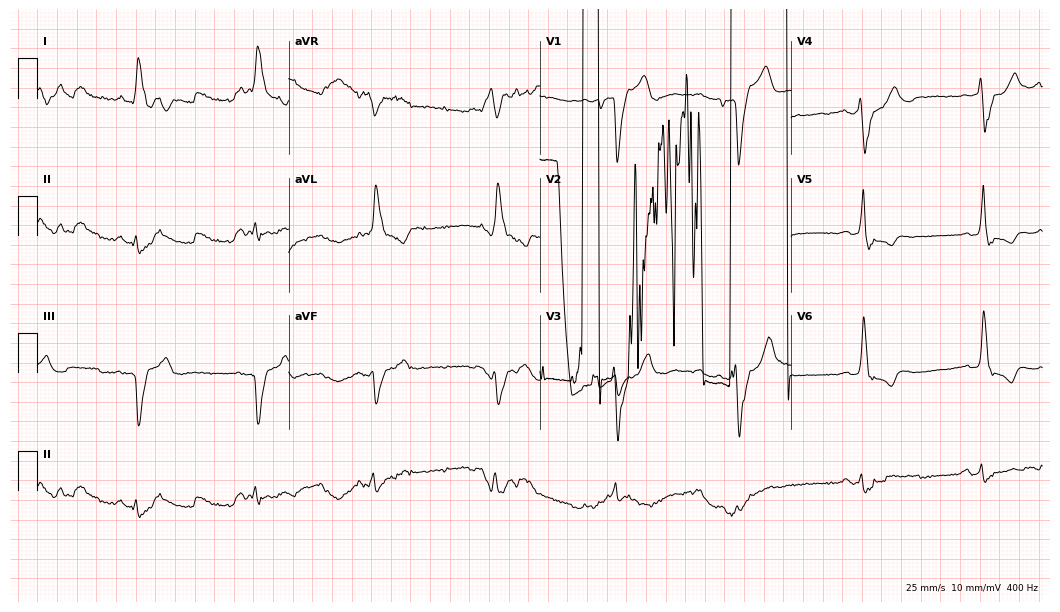
12-lead ECG from a 73-year-old male patient. Screened for six findings — first-degree AV block, right bundle branch block (RBBB), left bundle branch block (LBBB), sinus bradycardia, atrial fibrillation (AF), sinus tachycardia — none is recorded.